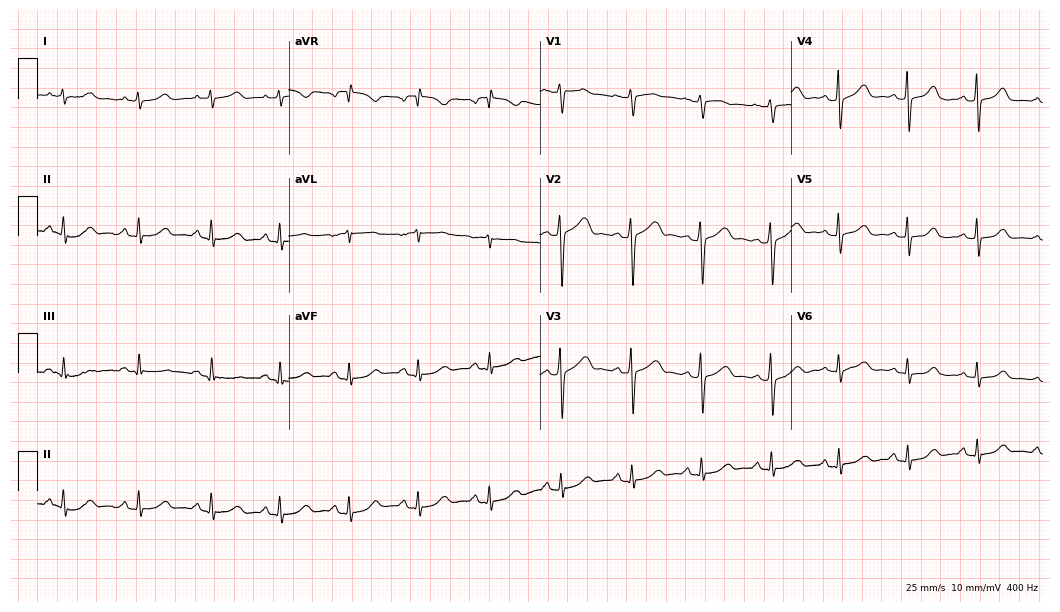
12-lead ECG from a 43-year-old woman (10.2-second recording at 400 Hz). Recorded interpretation: within normal limits.